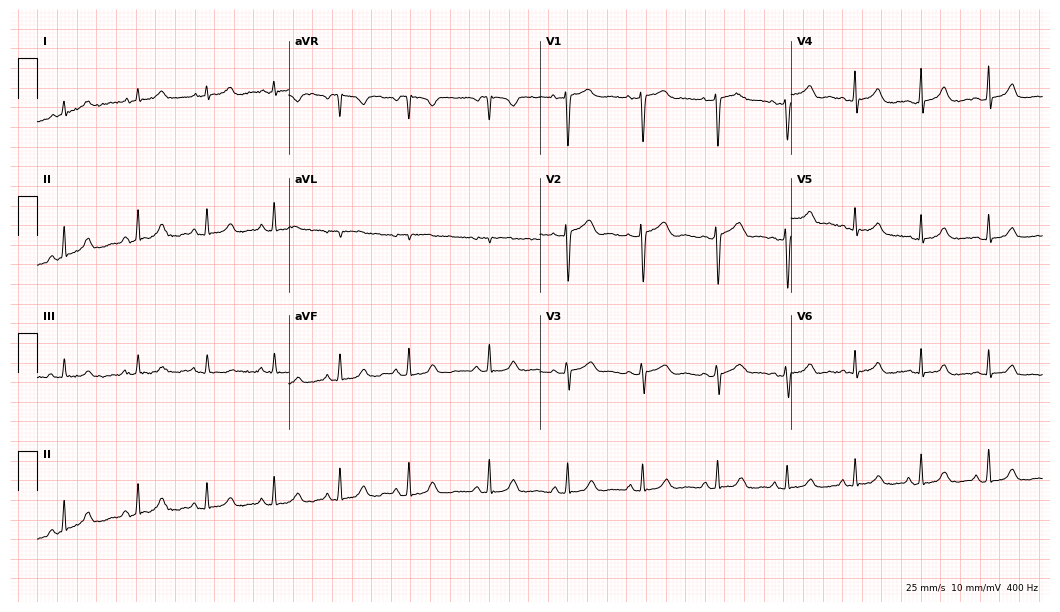
ECG — a female patient, 42 years old. Labelled as a normal ECG.